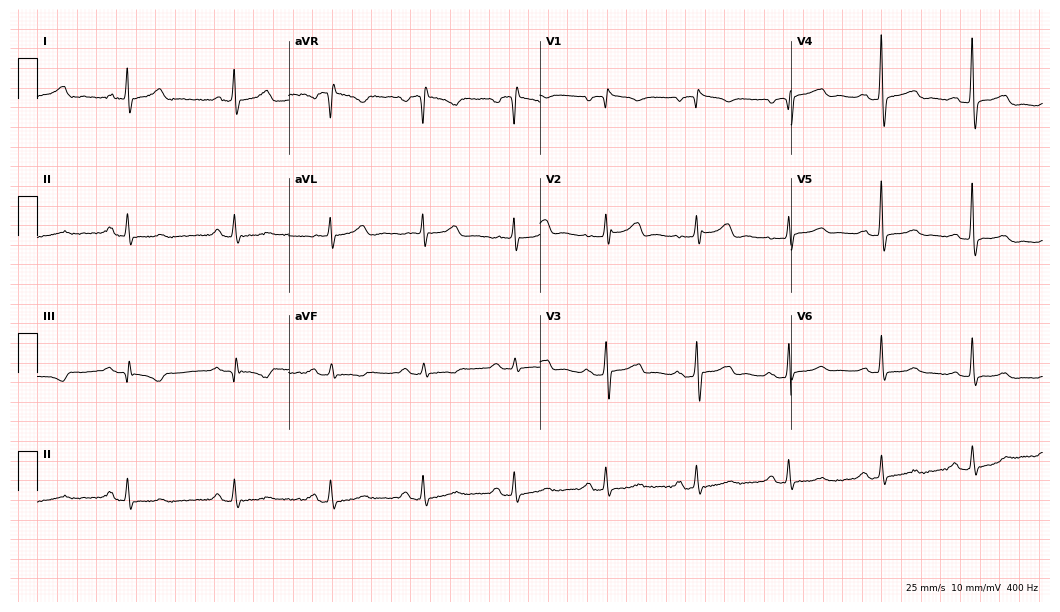
12-lead ECG from a female patient, 72 years old. Screened for six findings — first-degree AV block, right bundle branch block, left bundle branch block, sinus bradycardia, atrial fibrillation, sinus tachycardia — none is recorded. Findings outside these six are not listed.